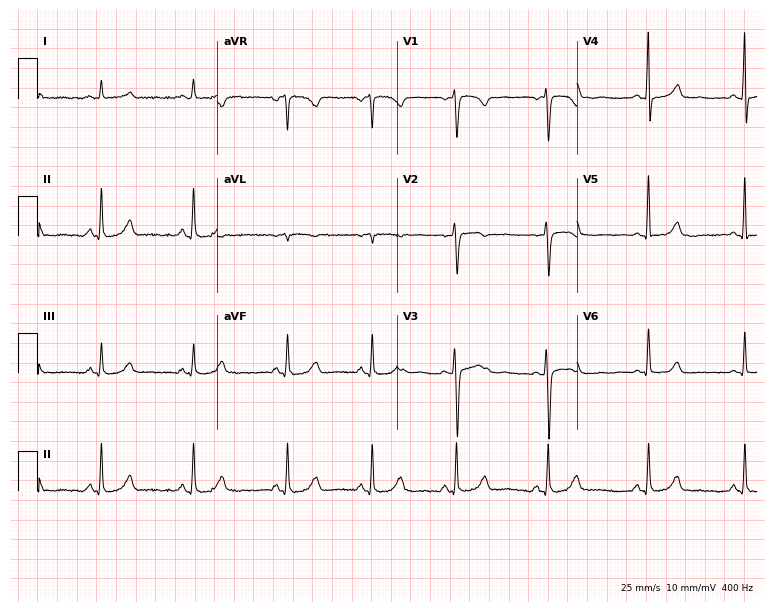
12-lead ECG from a female, 45 years old (7.3-second recording at 400 Hz). Recorded interpretation: within normal limits.